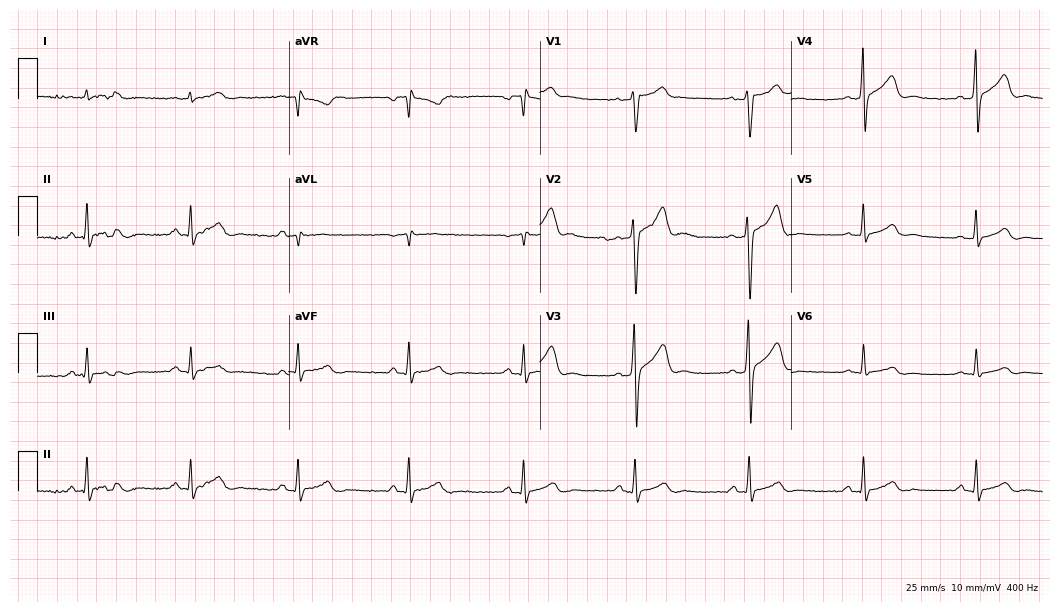
Electrocardiogram, a 33-year-old man. Overall reading on record: normal ECG.